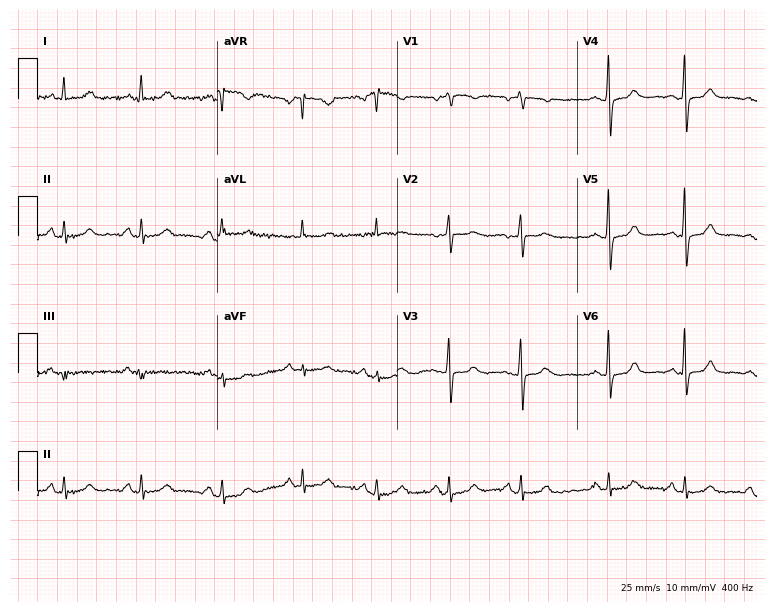
Resting 12-lead electrocardiogram. Patient: a 56-year-old female. Read as a normal ECG.